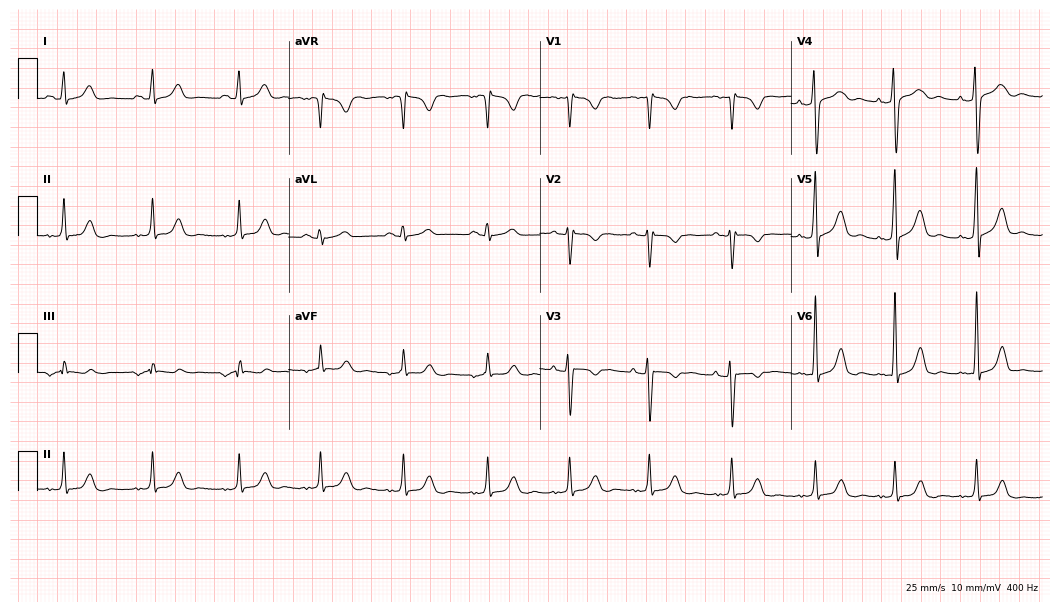
12-lead ECG from a female patient, 34 years old (10.2-second recording at 400 Hz). Recorded interpretation: within normal limits.